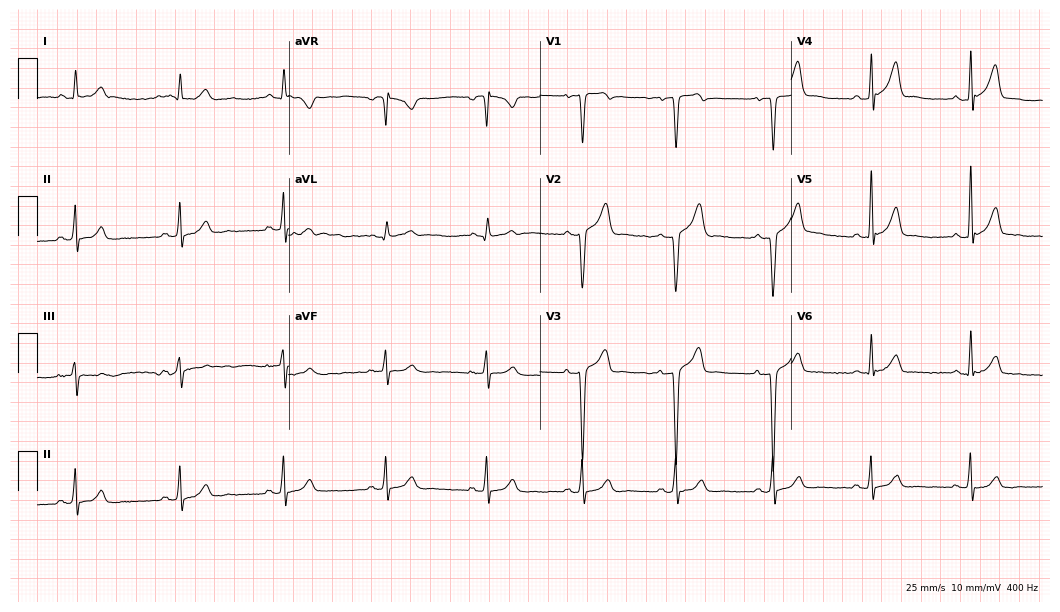
12-lead ECG from a man, 59 years old. No first-degree AV block, right bundle branch block, left bundle branch block, sinus bradycardia, atrial fibrillation or sinus tachycardia recorded for this tracing. Findings outside these six are not listed.